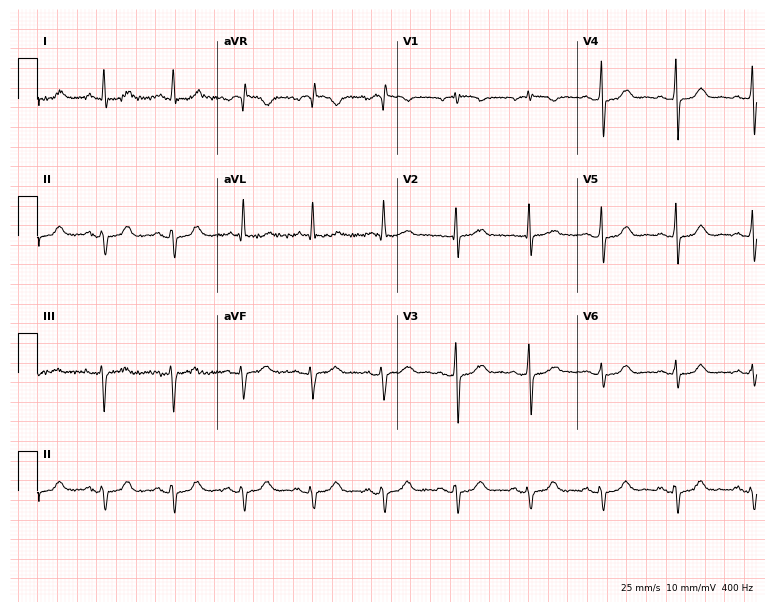
12-lead ECG from a woman, 67 years old. Screened for six findings — first-degree AV block, right bundle branch block, left bundle branch block, sinus bradycardia, atrial fibrillation, sinus tachycardia — none is recorded. Findings outside these six are not listed.